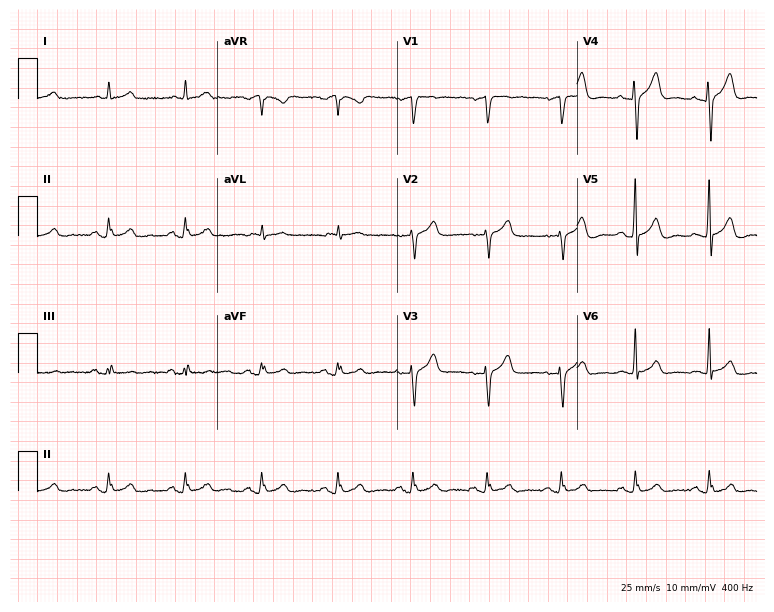
Electrocardiogram, a 68-year-old man. Overall reading on record: normal ECG.